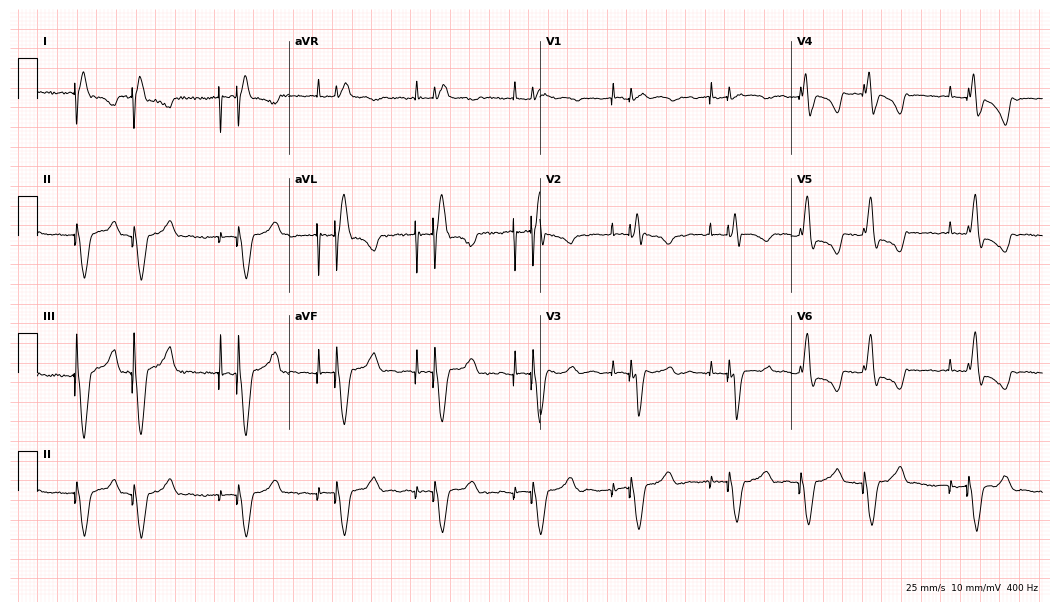
12-lead ECG from an 82-year-old female (10.2-second recording at 400 Hz). No first-degree AV block, right bundle branch block, left bundle branch block, sinus bradycardia, atrial fibrillation or sinus tachycardia recorded for this tracing. Findings outside these six are not listed.